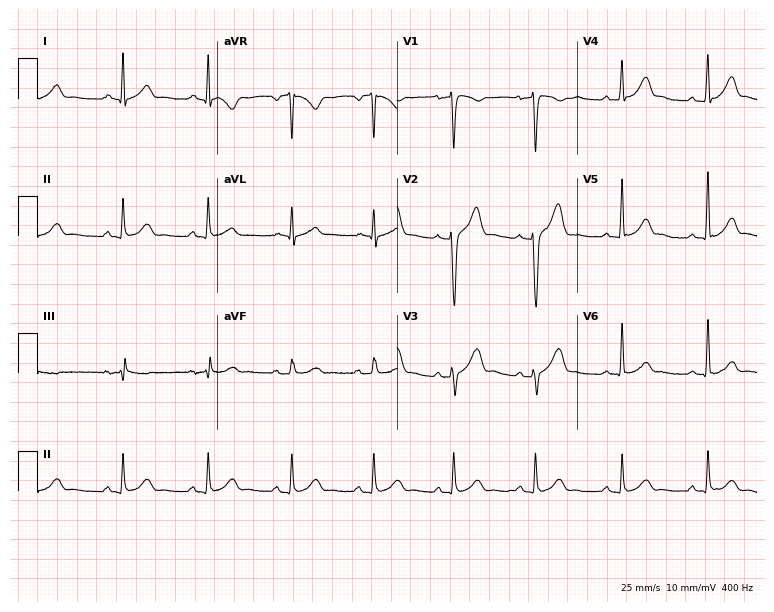
Electrocardiogram (7.3-second recording at 400 Hz), a man, 40 years old. Of the six screened findings (first-degree AV block, right bundle branch block (RBBB), left bundle branch block (LBBB), sinus bradycardia, atrial fibrillation (AF), sinus tachycardia), none is recorded.